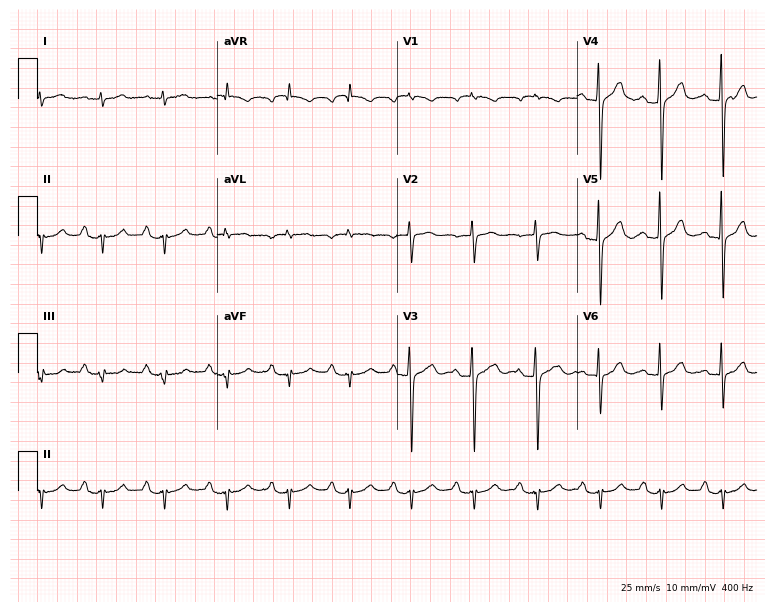
Resting 12-lead electrocardiogram (7.3-second recording at 400 Hz). Patient: an 85-year-old woman. None of these six findings is recorded: first-degree AV block, right bundle branch block, left bundle branch block, sinus bradycardia, atrial fibrillation, sinus tachycardia.